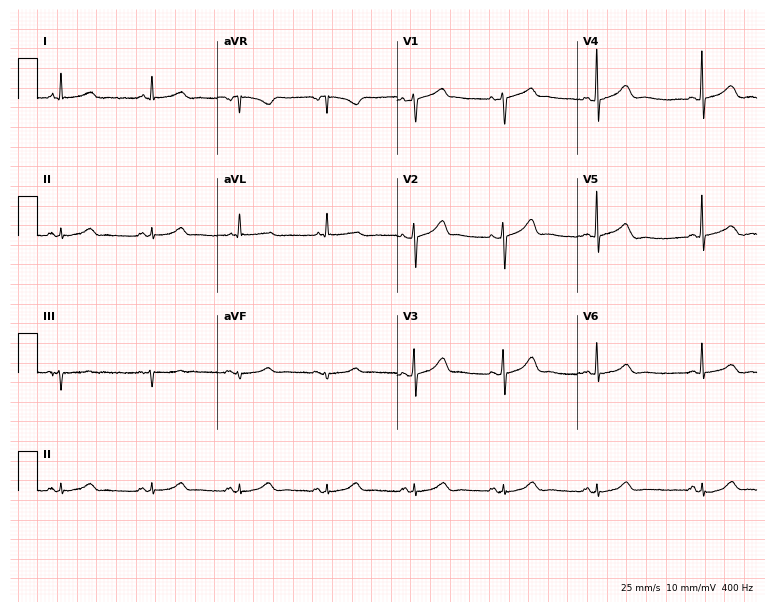
Electrocardiogram, a woman, 67 years old. Overall reading on record: normal ECG.